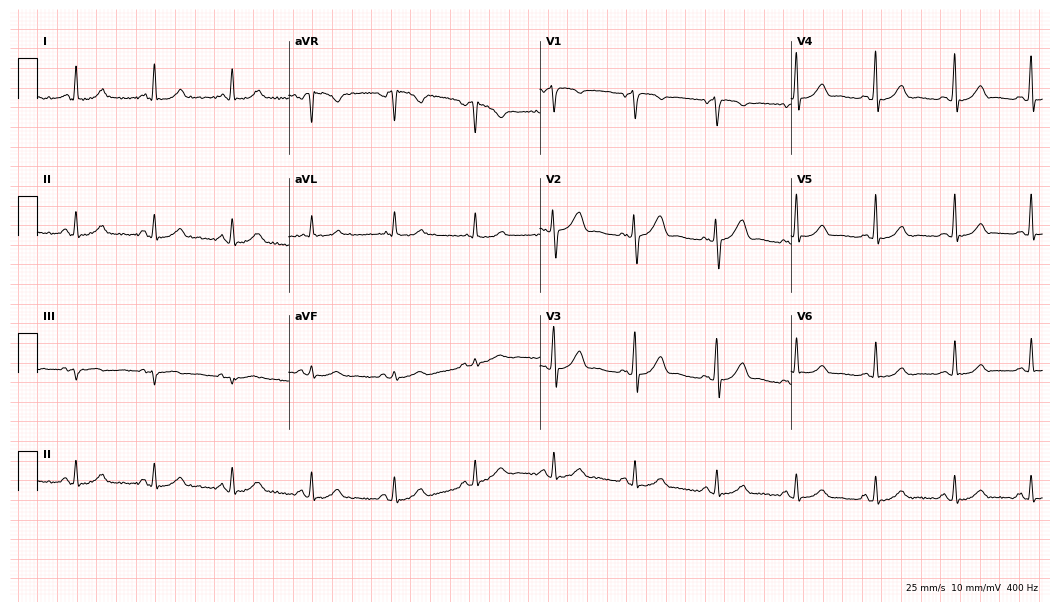
Standard 12-lead ECG recorded from a female patient, 33 years old (10.2-second recording at 400 Hz). None of these six findings is recorded: first-degree AV block, right bundle branch block (RBBB), left bundle branch block (LBBB), sinus bradycardia, atrial fibrillation (AF), sinus tachycardia.